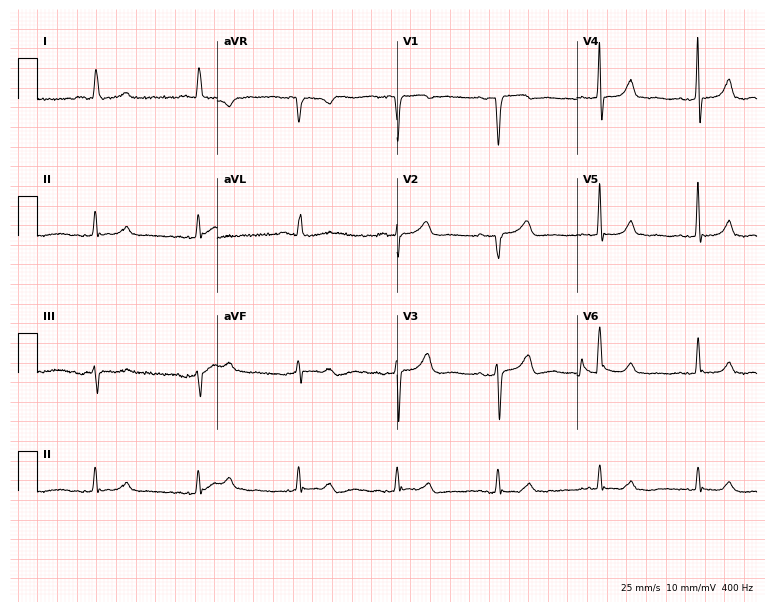
Resting 12-lead electrocardiogram (7.3-second recording at 400 Hz). Patient: a 72-year-old female. None of these six findings is recorded: first-degree AV block, right bundle branch block (RBBB), left bundle branch block (LBBB), sinus bradycardia, atrial fibrillation (AF), sinus tachycardia.